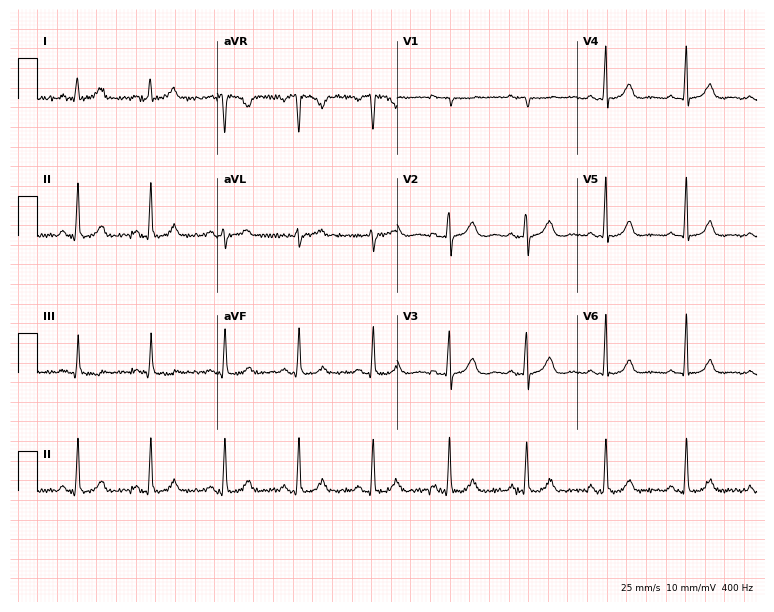
12-lead ECG from a 39-year-old female patient. Labelled as a normal ECG.